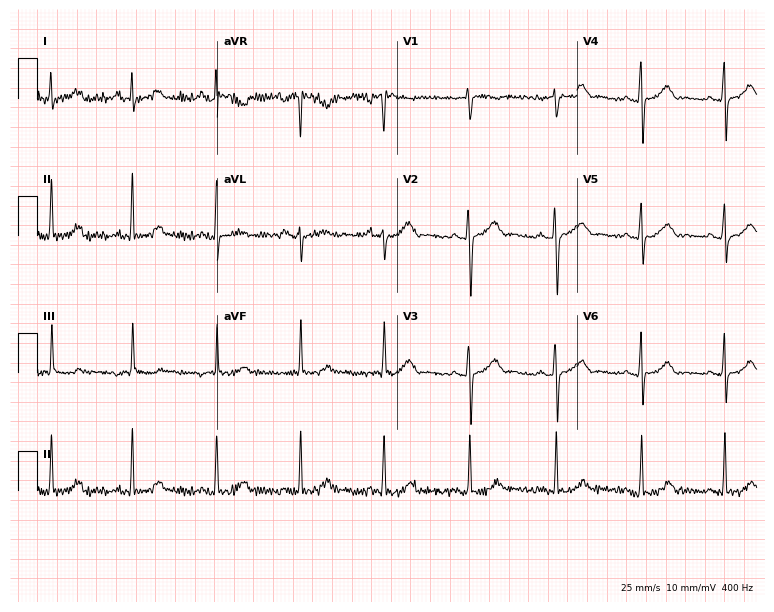
Electrocardiogram, a 25-year-old female patient. Overall reading on record: normal ECG.